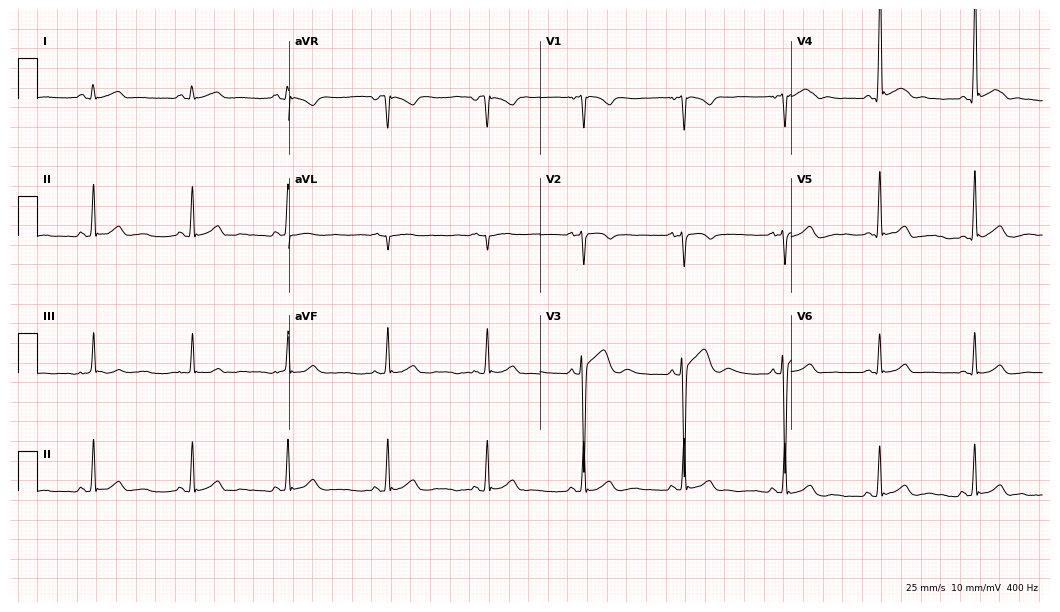
12-lead ECG (10.2-second recording at 400 Hz) from a 17-year-old woman. Labelled as a normal ECG.